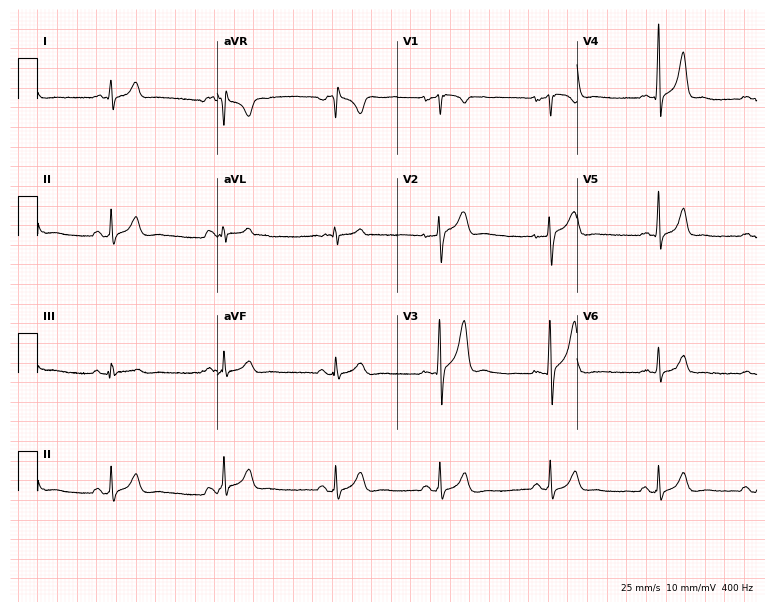
12-lead ECG from a 21-year-old man. Recorded interpretation: within normal limits.